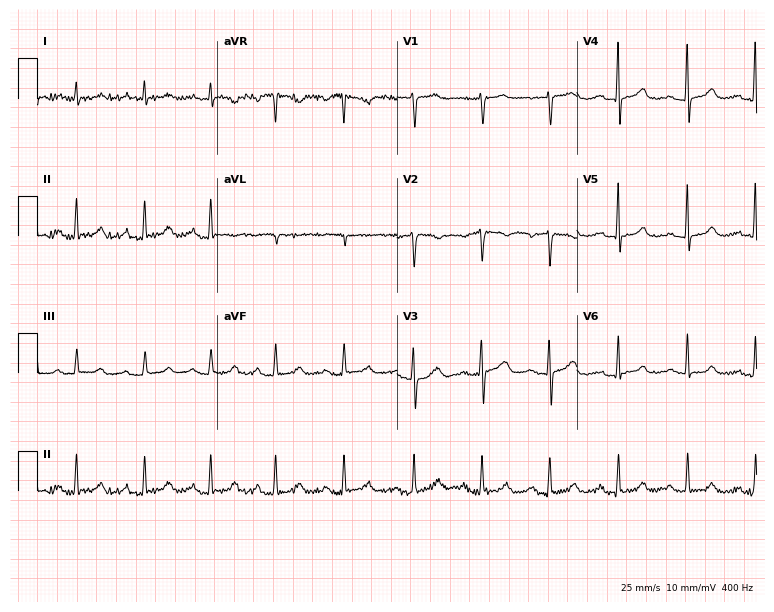
Standard 12-lead ECG recorded from a woman, 48 years old. None of these six findings is recorded: first-degree AV block, right bundle branch block, left bundle branch block, sinus bradycardia, atrial fibrillation, sinus tachycardia. Other findings, if any, are not listed.